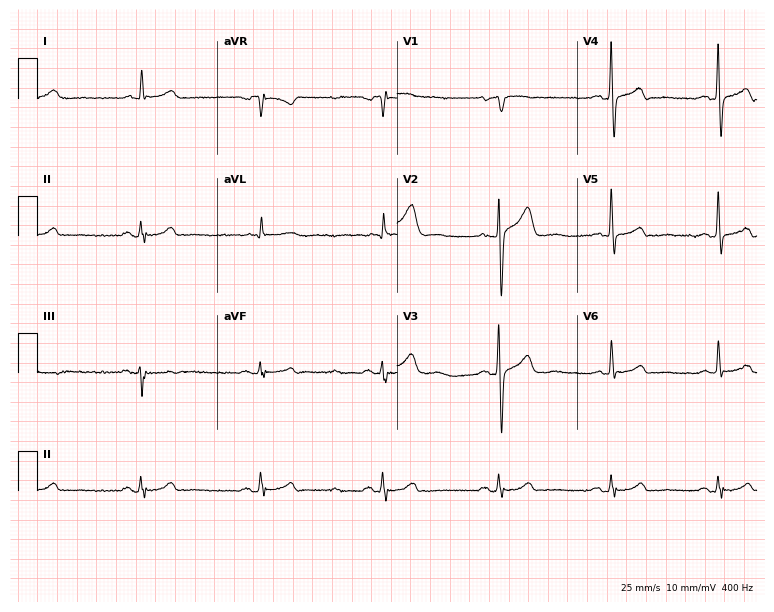
ECG — a male patient, 80 years old. Screened for six findings — first-degree AV block, right bundle branch block (RBBB), left bundle branch block (LBBB), sinus bradycardia, atrial fibrillation (AF), sinus tachycardia — none is recorded. Findings outside these six are not listed.